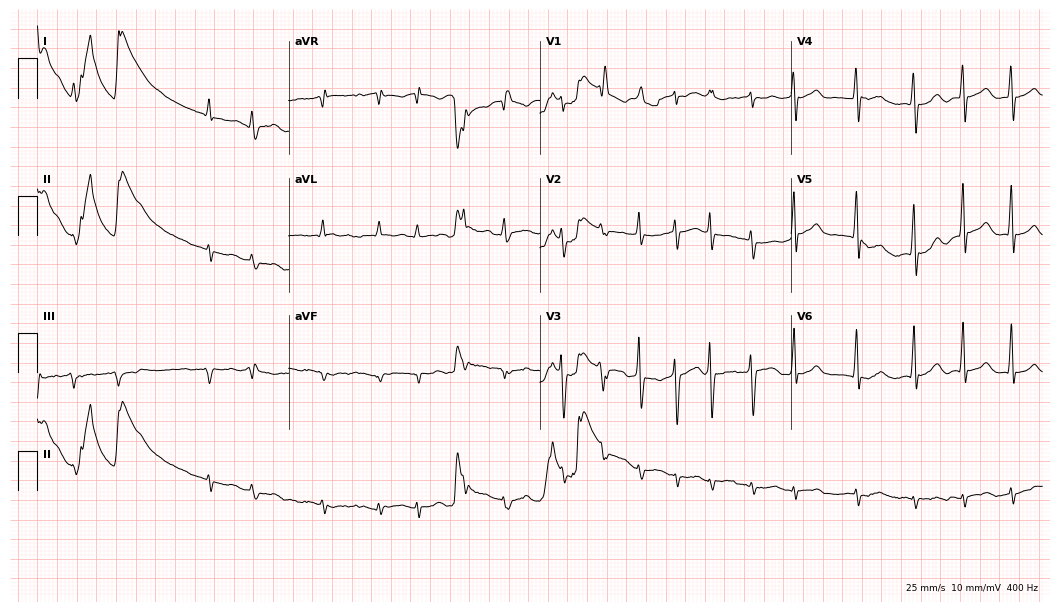
12-lead ECG from a 73-year-old man (10.2-second recording at 400 Hz). Shows atrial fibrillation (AF).